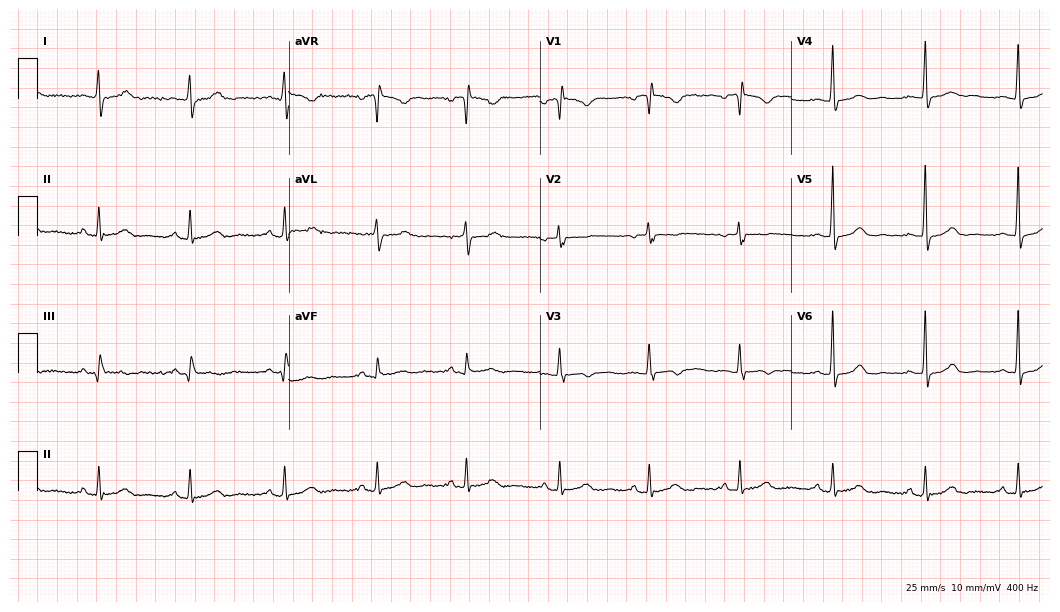
12-lead ECG from a 34-year-old woman. Recorded interpretation: within normal limits.